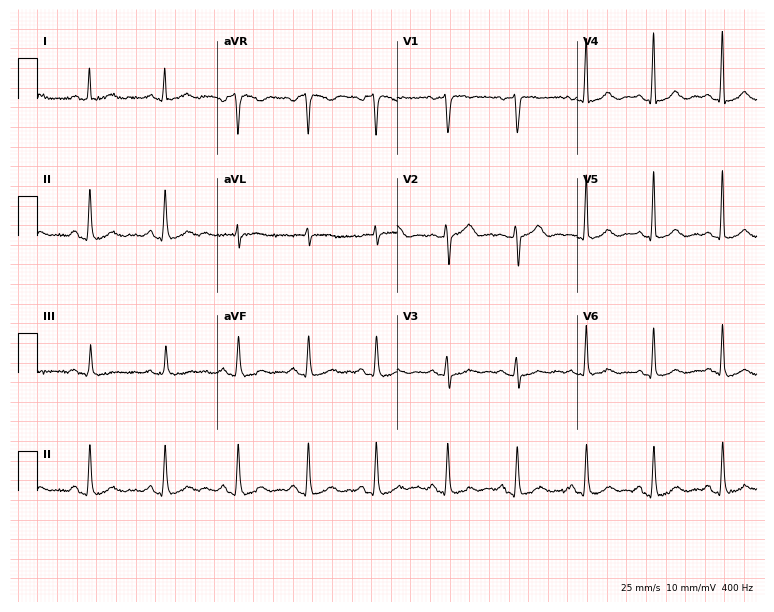
12-lead ECG (7.3-second recording at 400 Hz) from a female patient, 60 years old. Screened for six findings — first-degree AV block, right bundle branch block (RBBB), left bundle branch block (LBBB), sinus bradycardia, atrial fibrillation (AF), sinus tachycardia — none is recorded.